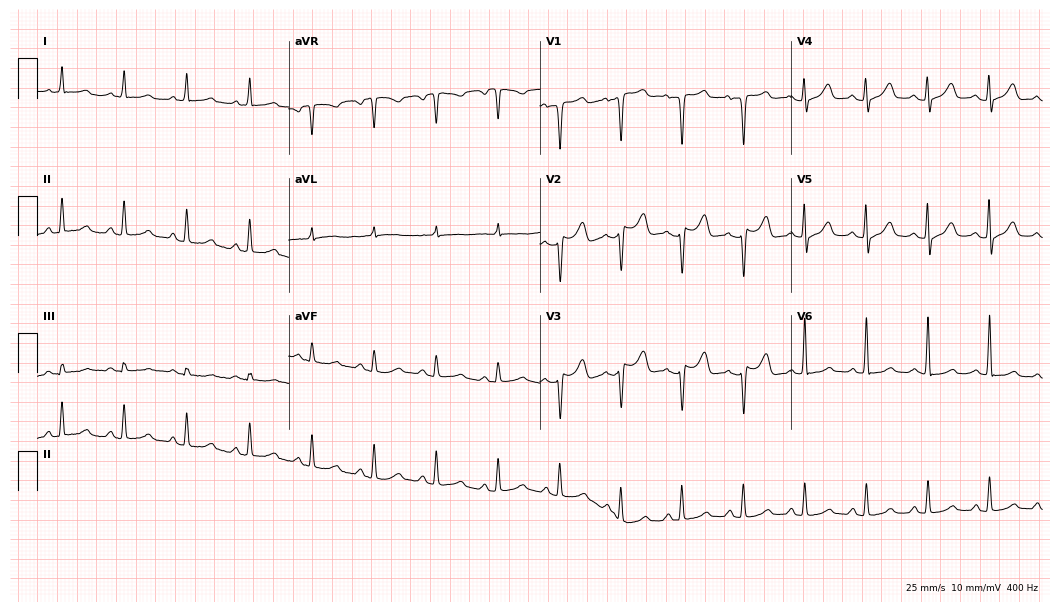
Electrocardiogram, a 48-year-old woman. Overall reading on record: normal ECG.